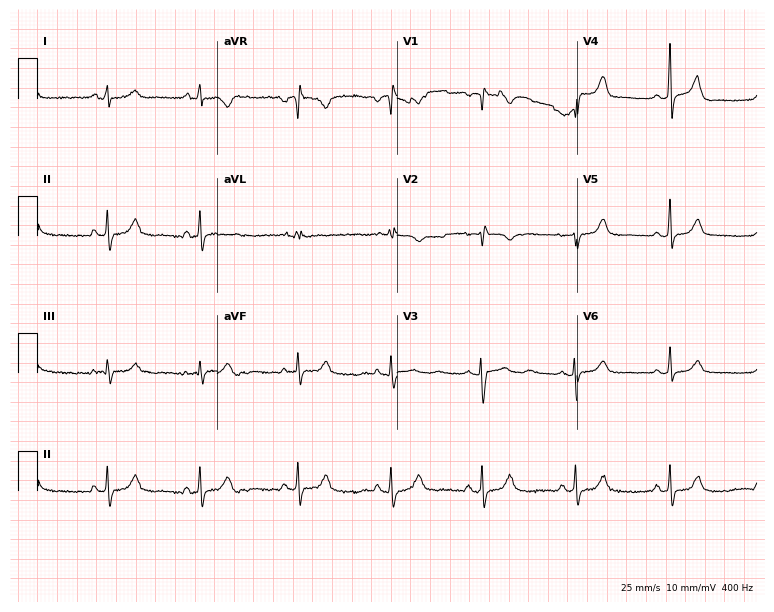
Resting 12-lead electrocardiogram (7.3-second recording at 400 Hz). Patient: a 31-year-old woman. Read as a normal ECG.